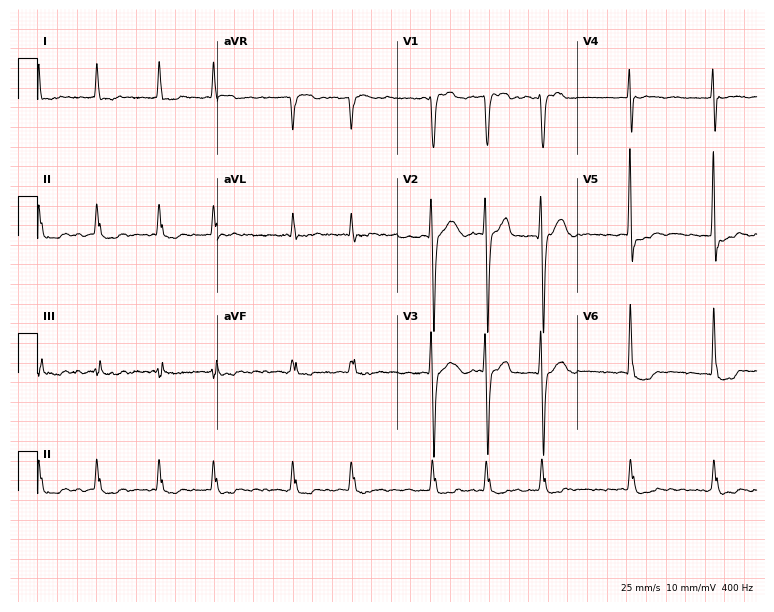
ECG (7.3-second recording at 400 Hz) — a 76-year-old woman. Findings include atrial fibrillation.